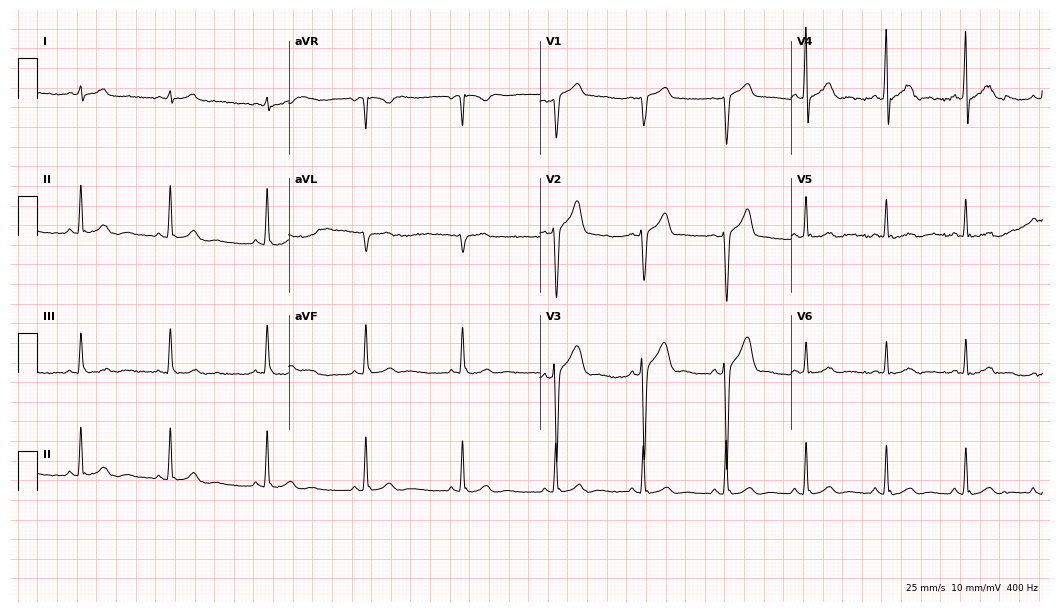
12-lead ECG (10.2-second recording at 400 Hz) from a male, 46 years old. Labelled as a normal ECG.